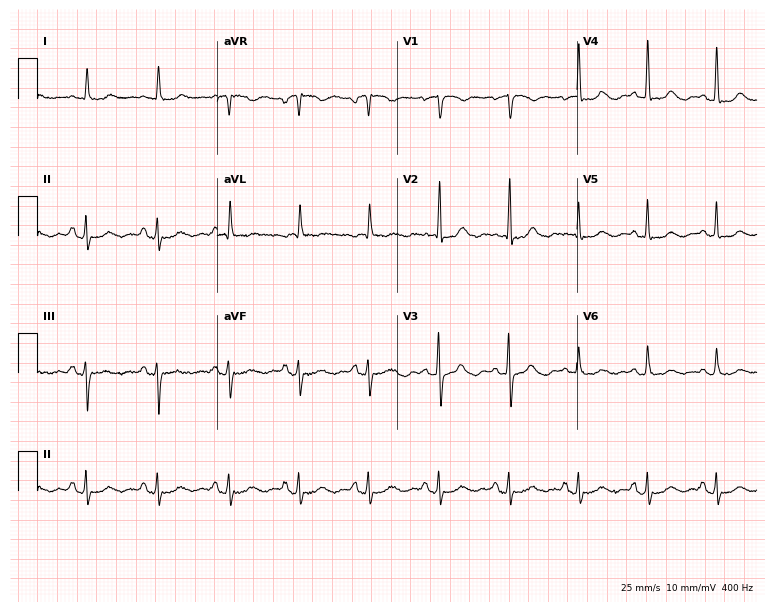
ECG (7.3-second recording at 400 Hz) — a female, 68 years old. Labelled as a normal ECG.